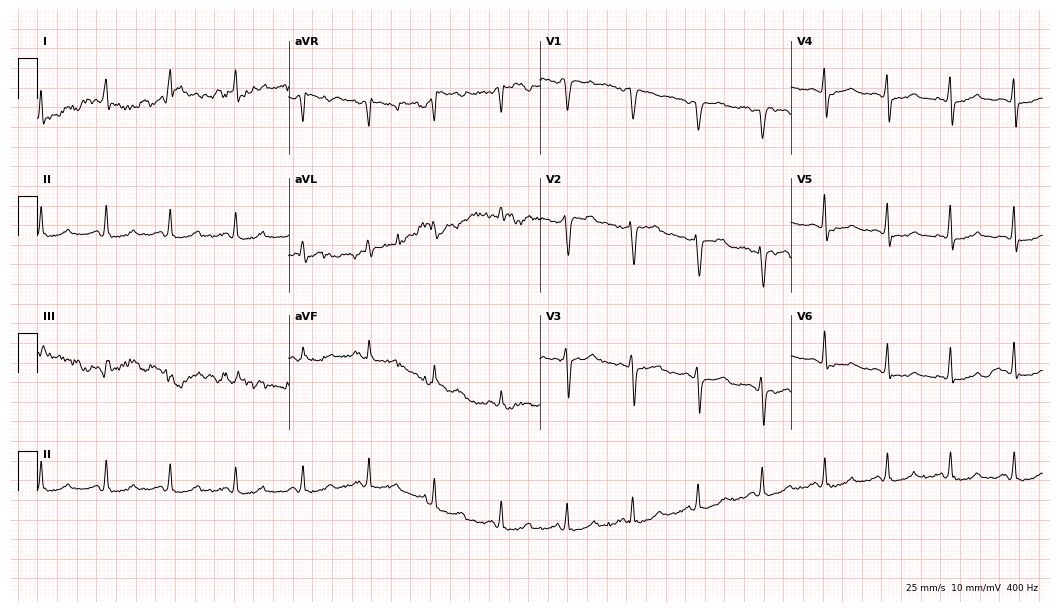
ECG (10.2-second recording at 400 Hz) — a female patient, 50 years old. Screened for six findings — first-degree AV block, right bundle branch block, left bundle branch block, sinus bradycardia, atrial fibrillation, sinus tachycardia — none is recorded. Other findings, if any, are not listed.